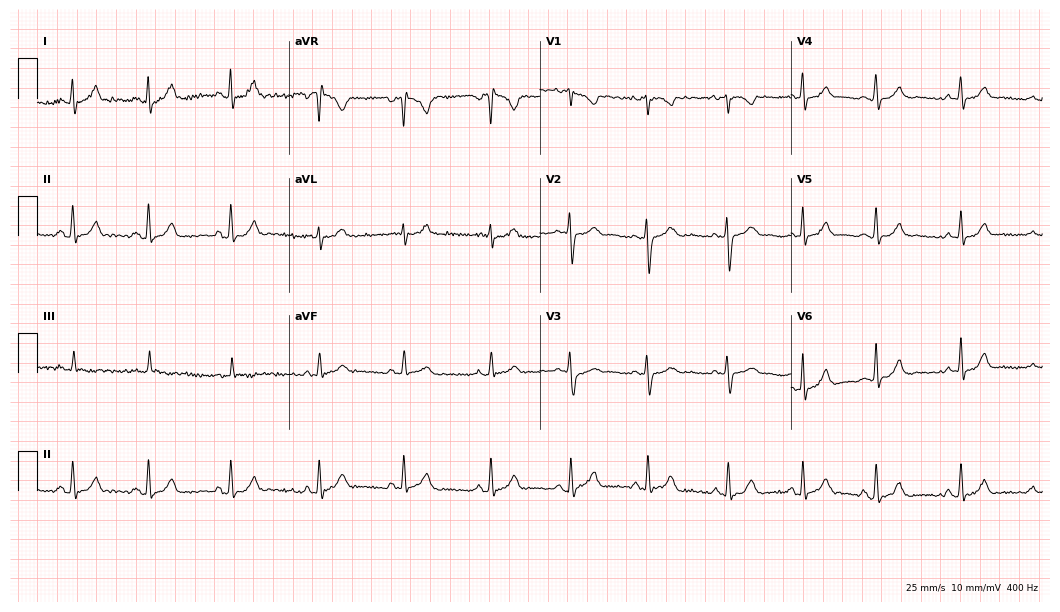
12-lead ECG (10.2-second recording at 400 Hz) from a 19-year-old female. Screened for six findings — first-degree AV block, right bundle branch block, left bundle branch block, sinus bradycardia, atrial fibrillation, sinus tachycardia — none is recorded. Findings outside these six are not listed.